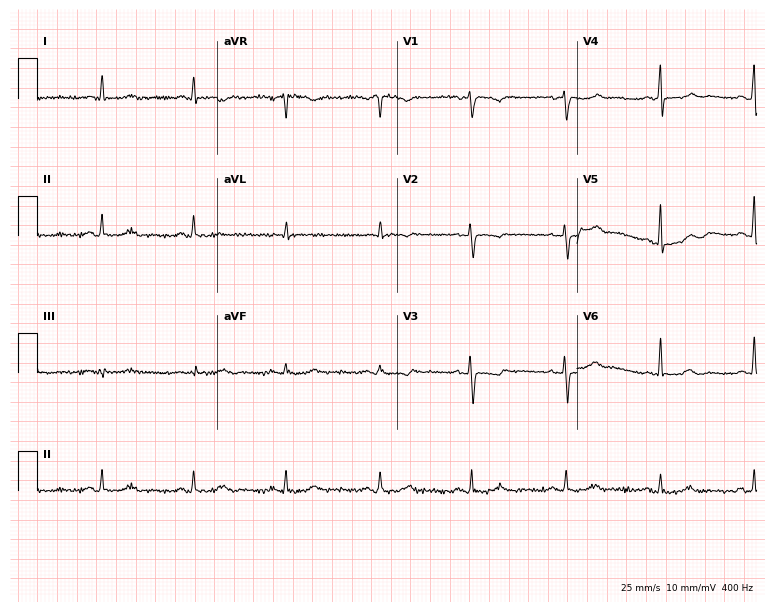
ECG (7.3-second recording at 400 Hz) — a 59-year-old woman. Screened for six findings — first-degree AV block, right bundle branch block (RBBB), left bundle branch block (LBBB), sinus bradycardia, atrial fibrillation (AF), sinus tachycardia — none is recorded.